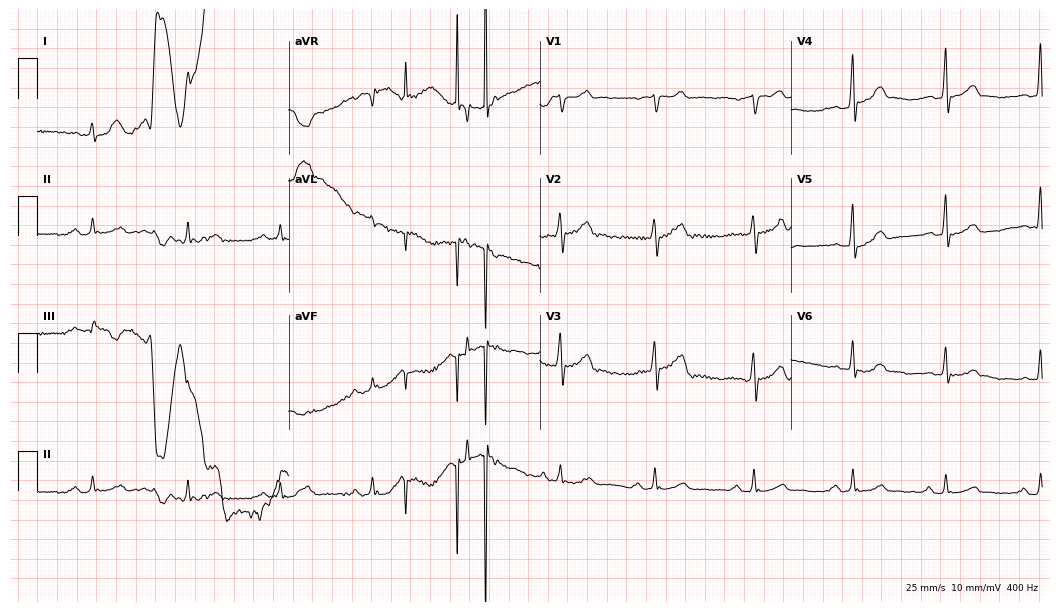
Standard 12-lead ECG recorded from a male patient, 56 years old. Read as a normal ECG.